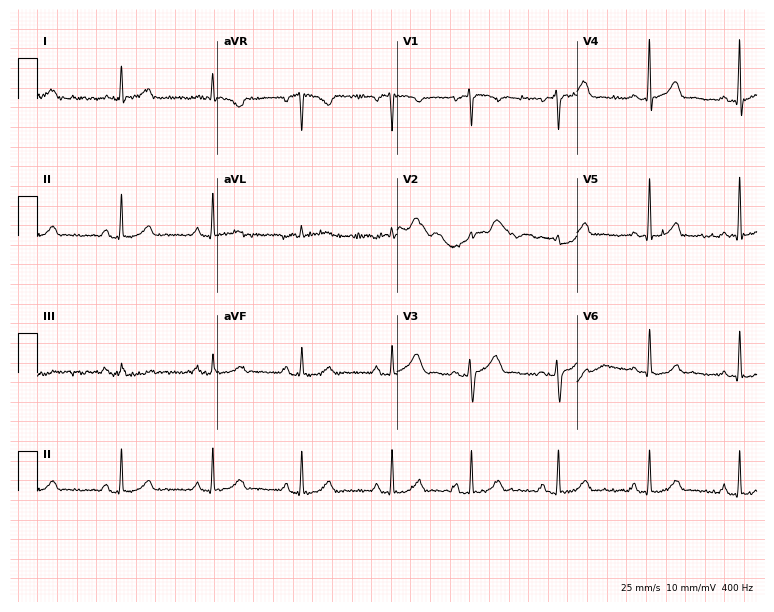
12-lead ECG from a 35-year-old female (7.3-second recording at 400 Hz). Recorded interpretation: within normal limits.